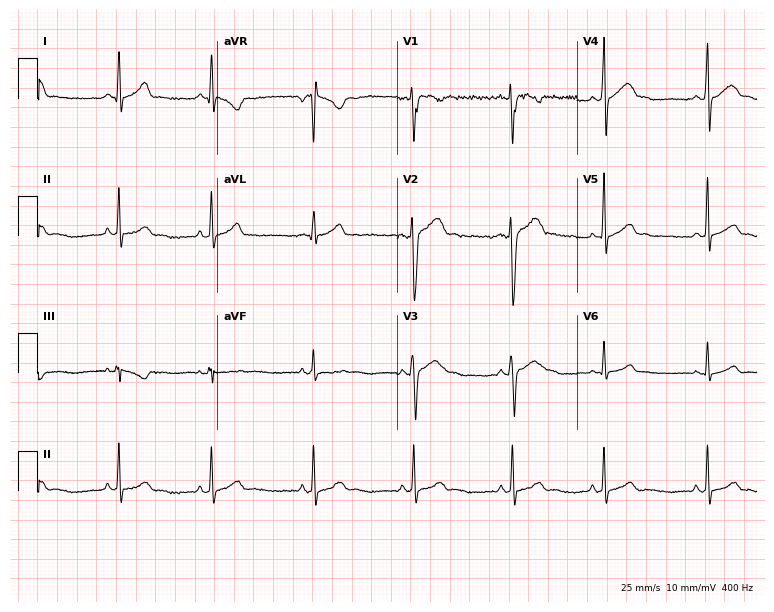
Resting 12-lead electrocardiogram (7.3-second recording at 400 Hz). Patient: a 17-year-old male. None of these six findings is recorded: first-degree AV block, right bundle branch block, left bundle branch block, sinus bradycardia, atrial fibrillation, sinus tachycardia.